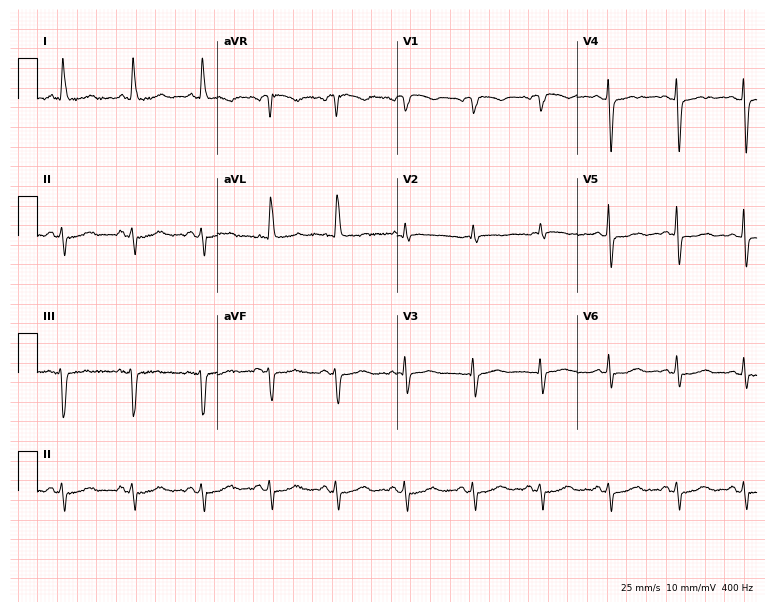
ECG — a 70-year-old female. Screened for six findings — first-degree AV block, right bundle branch block, left bundle branch block, sinus bradycardia, atrial fibrillation, sinus tachycardia — none is recorded.